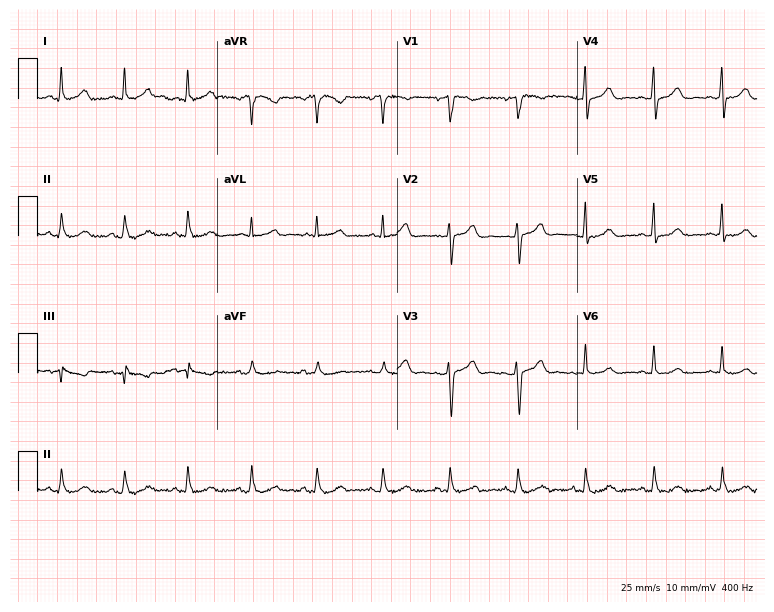
Standard 12-lead ECG recorded from a 42-year-old female. Read as a normal ECG.